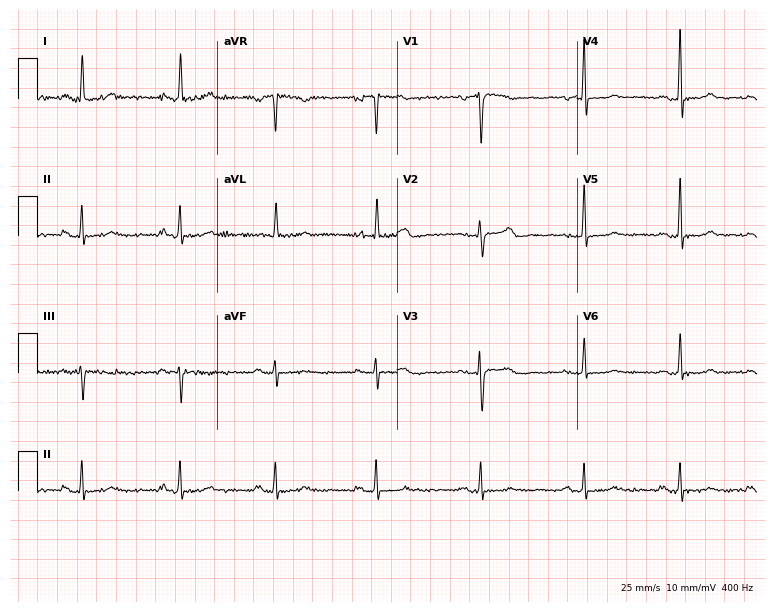
Resting 12-lead electrocardiogram (7.3-second recording at 400 Hz). Patient: a 47-year-old woman. Read as a normal ECG.